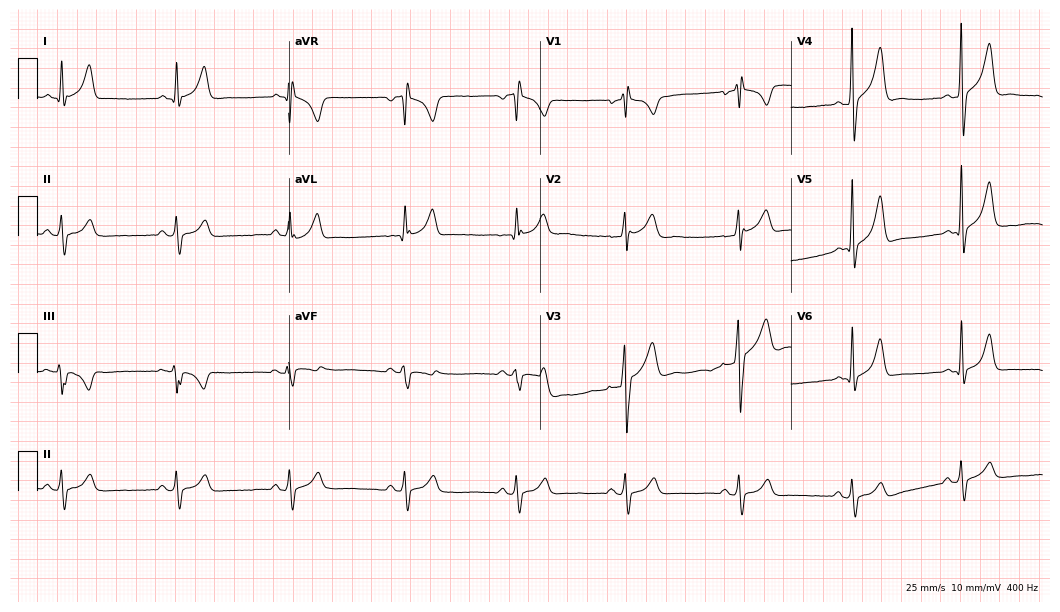
12-lead ECG (10.2-second recording at 400 Hz) from a 26-year-old male patient. Screened for six findings — first-degree AV block, right bundle branch block, left bundle branch block, sinus bradycardia, atrial fibrillation, sinus tachycardia — none is recorded. Findings outside these six are not listed.